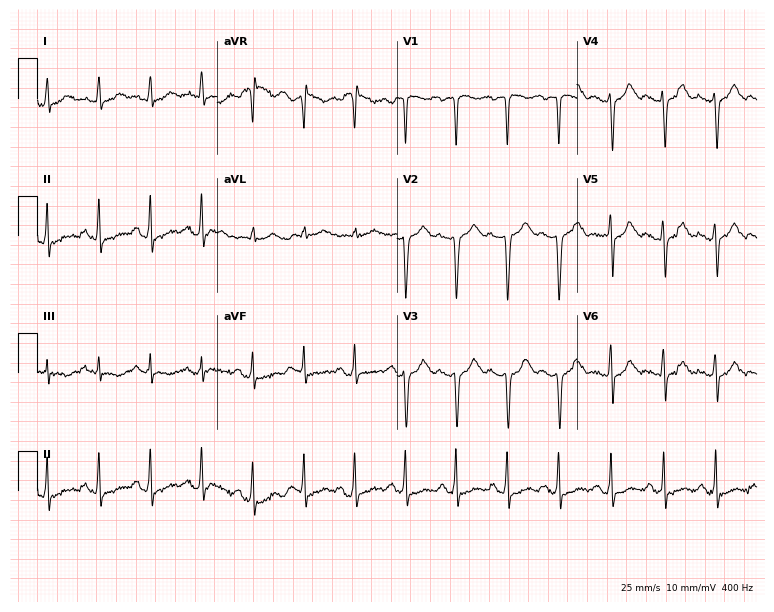
Standard 12-lead ECG recorded from an 18-year-old female patient (7.3-second recording at 400 Hz). The tracing shows sinus tachycardia (a sinus rate of 100 beats per minute or more).